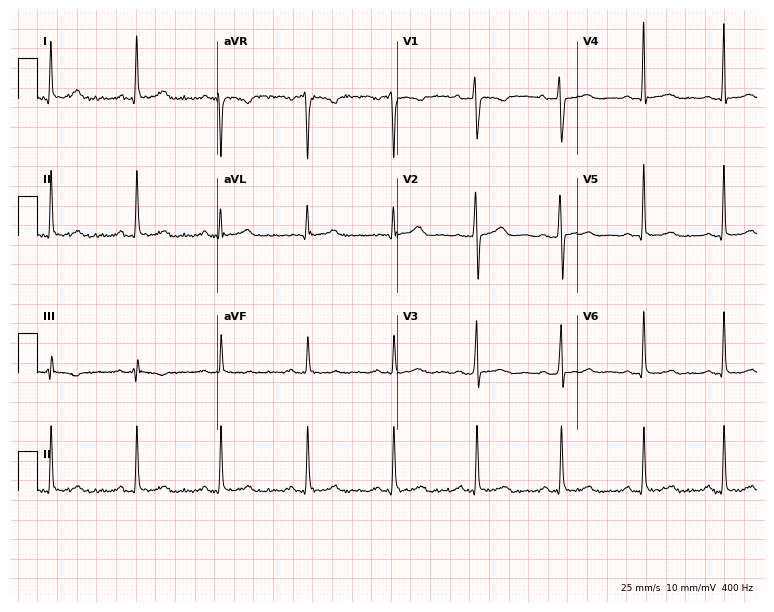
ECG (7.3-second recording at 400 Hz) — a 41-year-old female patient. Screened for six findings — first-degree AV block, right bundle branch block (RBBB), left bundle branch block (LBBB), sinus bradycardia, atrial fibrillation (AF), sinus tachycardia — none is recorded. Other findings, if any, are not listed.